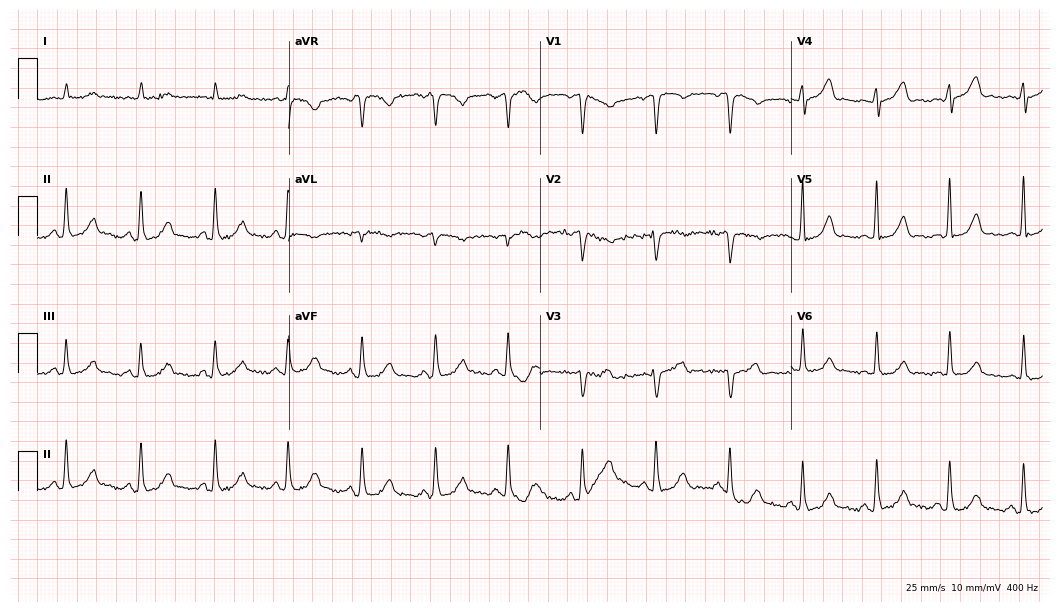
ECG — a 56-year-old female. Labelled as a normal ECG.